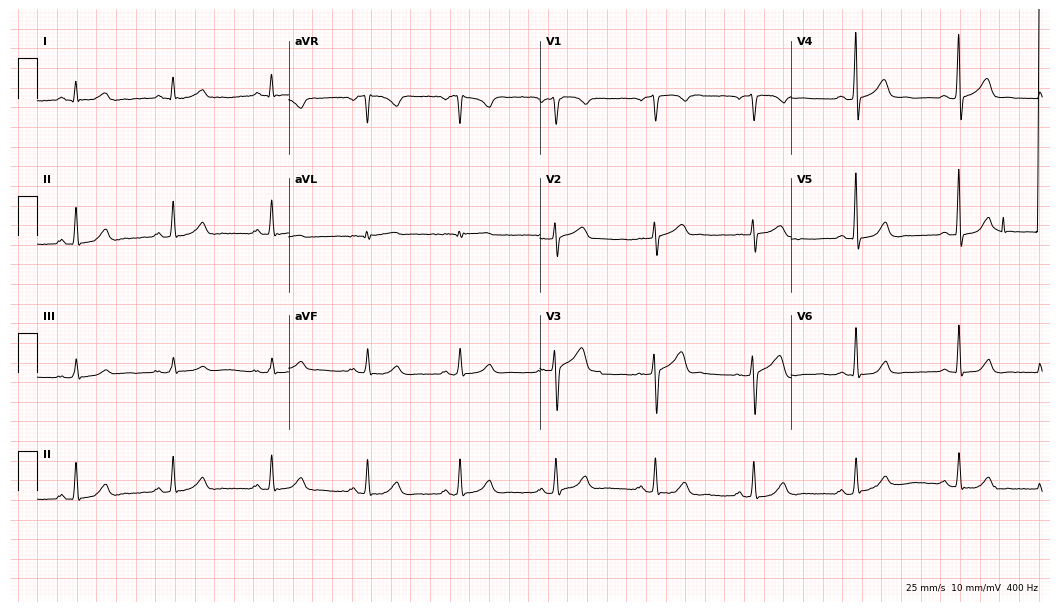
Resting 12-lead electrocardiogram. Patient: a female, 56 years old. Read as a normal ECG.